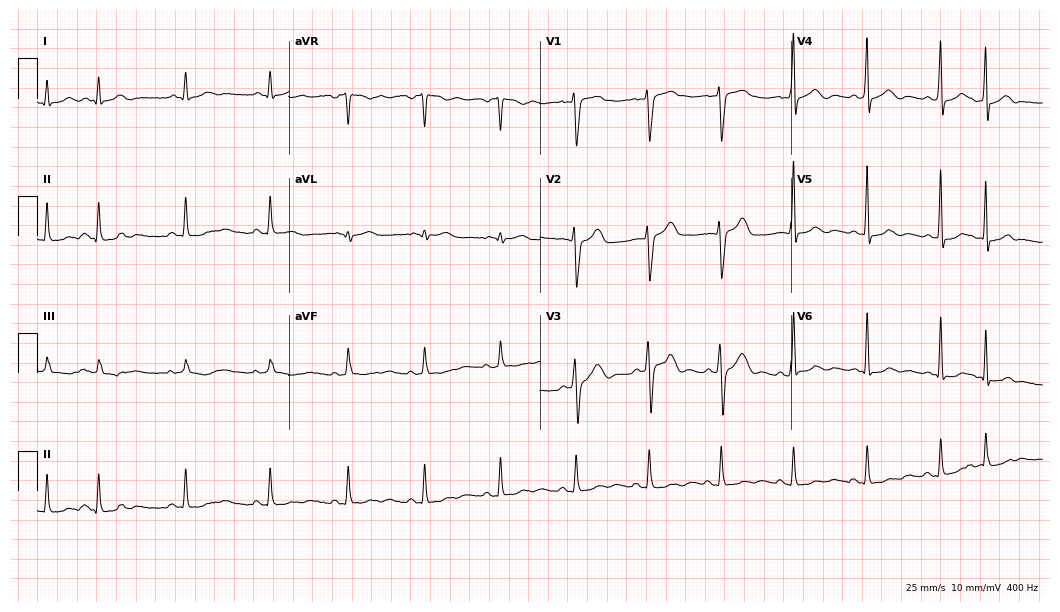
Electrocardiogram, a 27-year-old male. Of the six screened findings (first-degree AV block, right bundle branch block (RBBB), left bundle branch block (LBBB), sinus bradycardia, atrial fibrillation (AF), sinus tachycardia), none is recorded.